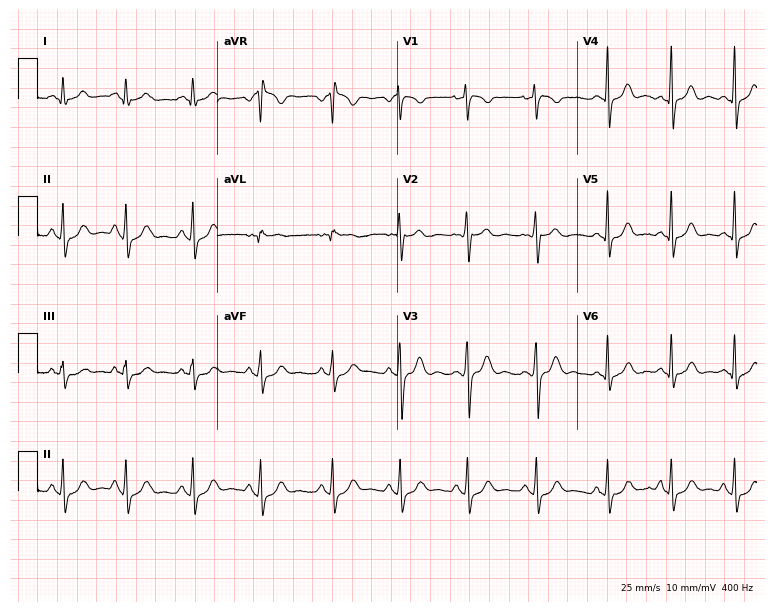
ECG (7.3-second recording at 400 Hz) — a woman, 20 years old. Screened for six findings — first-degree AV block, right bundle branch block (RBBB), left bundle branch block (LBBB), sinus bradycardia, atrial fibrillation (AF), sinus tachycardia — none is recorded.